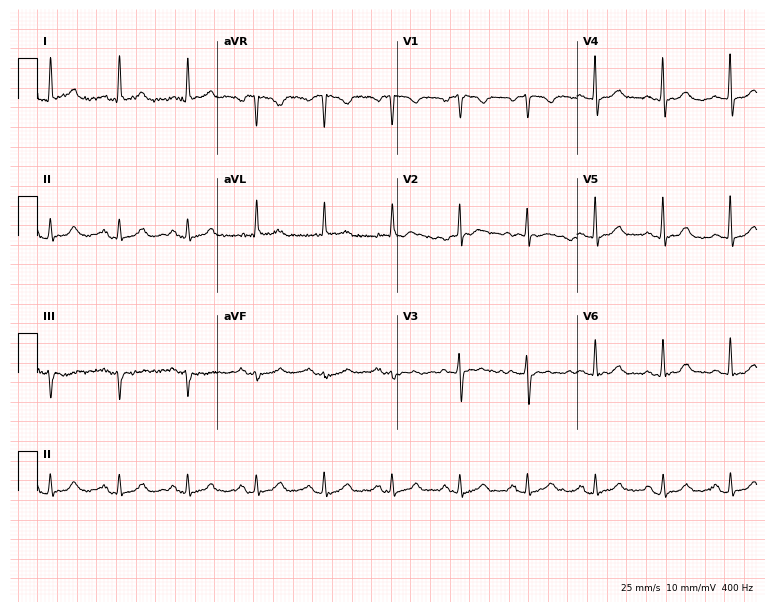
ECG (7.3-second recording at 400 Hz) — a male, 71 years old. Screened for six findings — first-degree AV block, right bundle branch block, left bundle branch block, sinus bradycardia, atrial fibrillation, sinus tachycardia — none is recorded. Other findings, if any, are not listed.